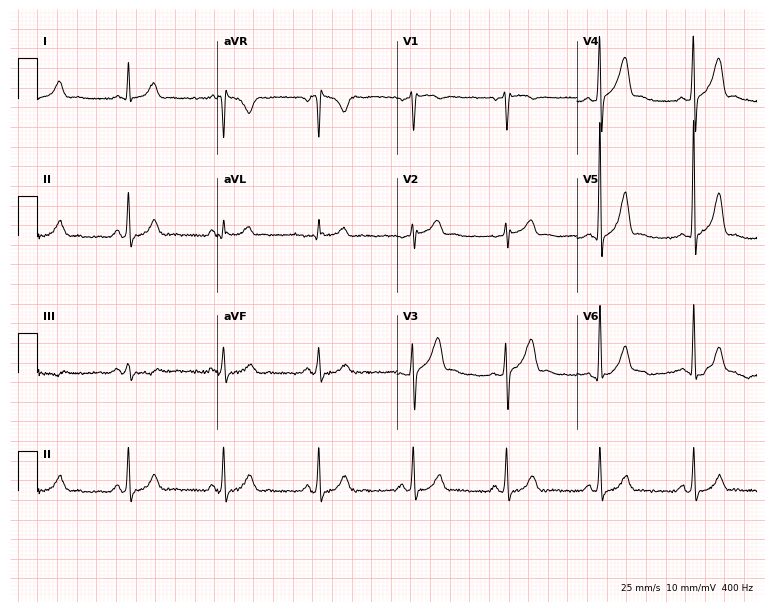
12-lead ECG (7.3-second recording at 400 Hz) from a man, 57 years old. Labelled as a normal ECG.